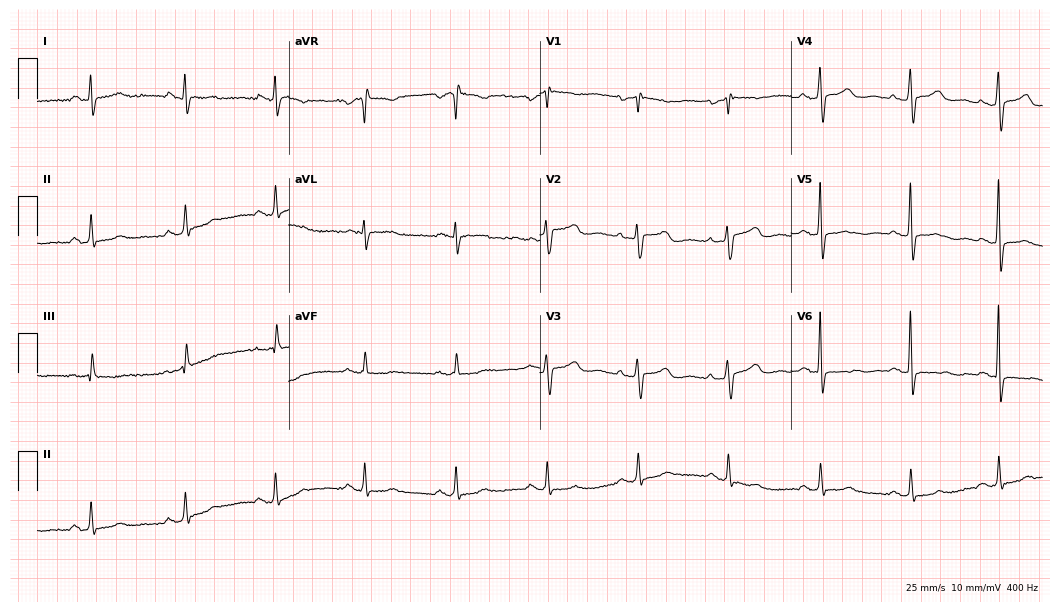
ECG (10.2-second recording at 400 Hz) — a woman, 66 years old. Screened for six findings — first-degree AV block, right bundle branch block (RBBB), left bundle branch block (LBBB), sinus bradycardia, atrial fibrillation (AF), sinus tachycardia — none is recorded. Findings outside these six are not listed.